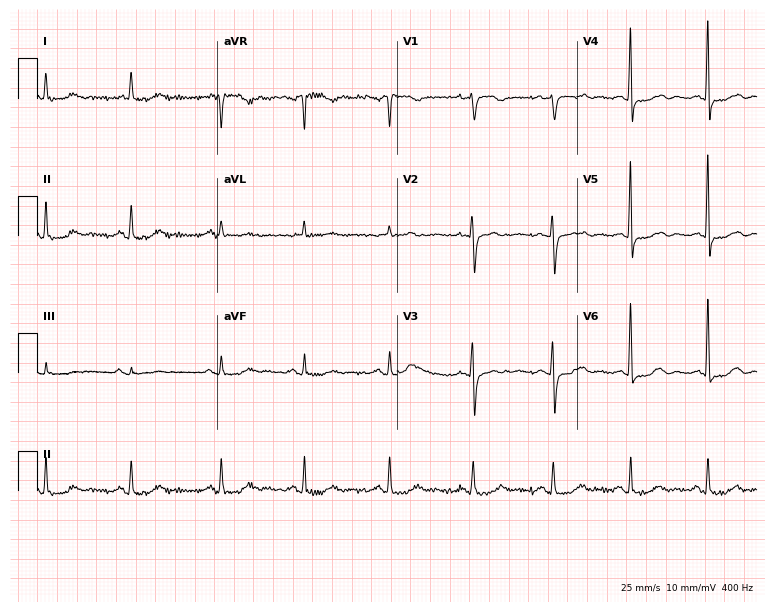
12-lead ECG (7.3-second recording at 400 Hz) from a female patient, 77 years old. Screened for six findings — first-degree AV block, right bundle branch block, left bundle branch block, sinus bradycardia, atrial fibrillation, sinus tachycardia — none is recorded. Other findings, if any, are not listed.